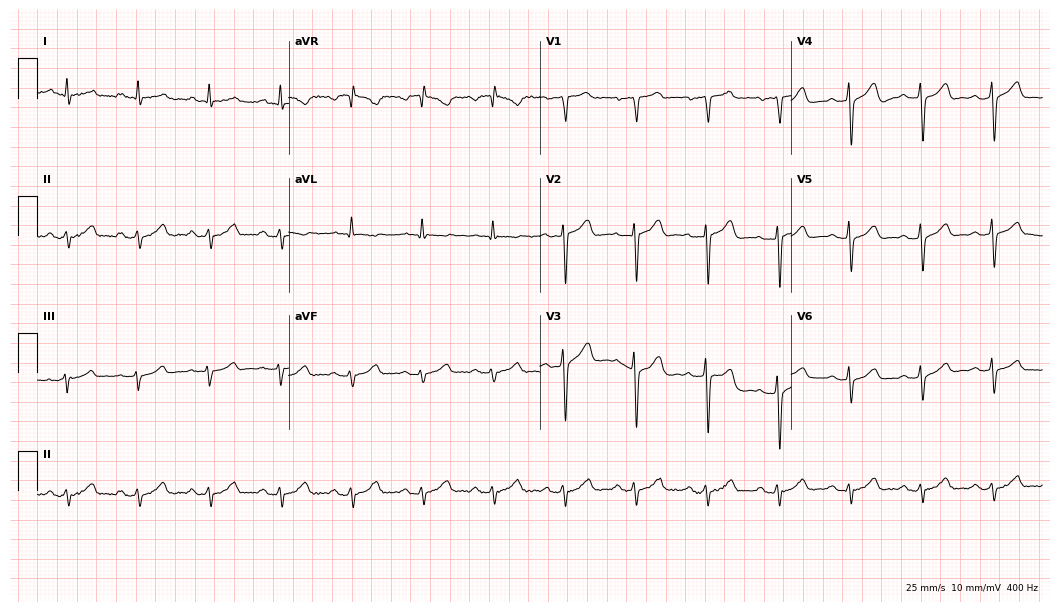
Resting 12-lead electrocardiogram (10.2-second recording at 400 Hz). Patient: a 54-year-old man. None of these six findings is recorded: first-degree AV block, right bundle branch block, left bundle branch block, sinus bradycardia, atrial fibrillation, sinus tachycardia.